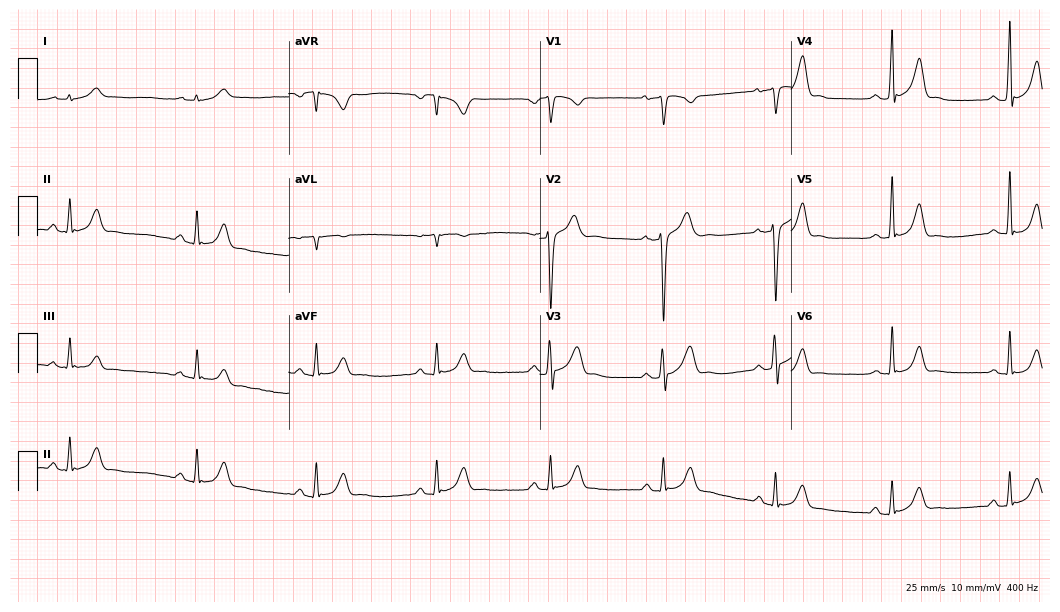
ECG — a 36-year-old male patient. Labelled as a normal ECG.